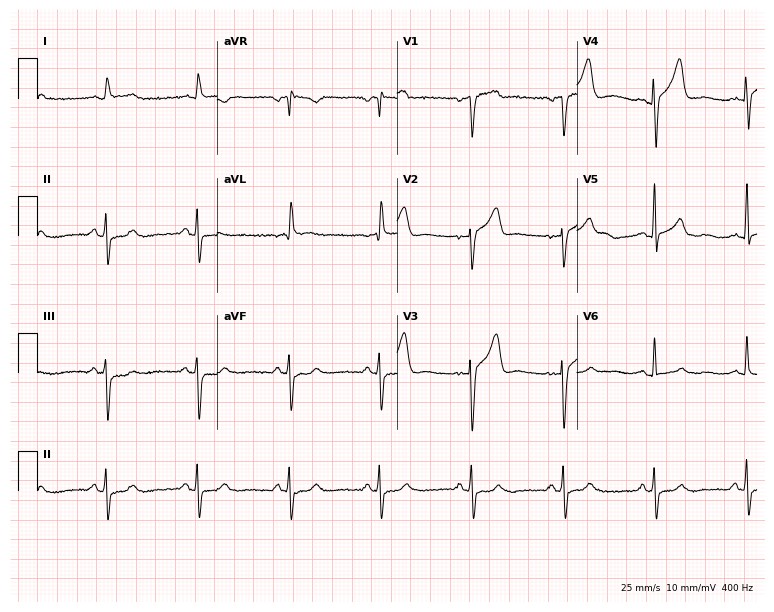
Electrocardiogram, a 63-year-old male. Of the six screened findings (first-degree AV block, right bundle branch block (RBBB), left bundle branch block (LBBB), sinus bradycardia, atrial fibrillation (AF), sinus tachycardia), none is recorded. Findings outside these six are not listed.